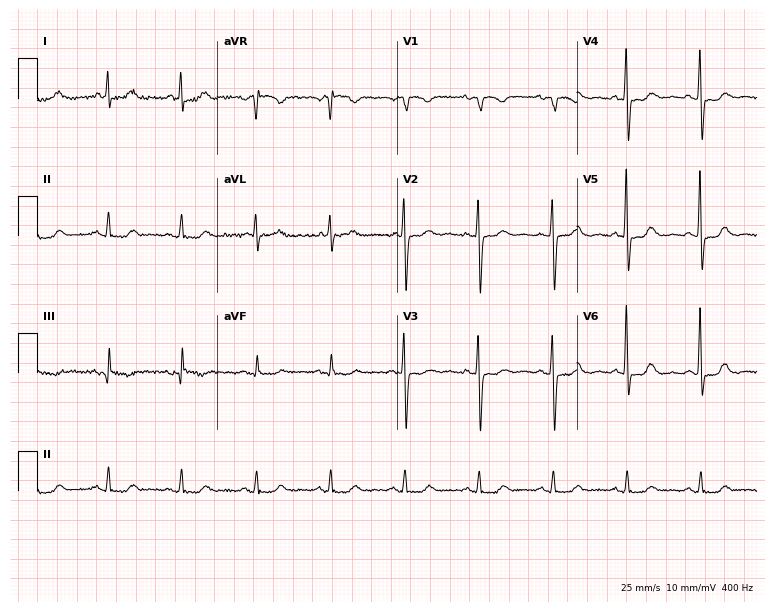
Resting 12-lead electrocardiogram (7.3-second recording at 400 Hz). Patient: a 71-year-old female. None of these six findings is recorded: first-degree AV block, right bundle branch block, left bundle branch block, sinus bradycardia, atrial fibrillation, sinus tachycardia.